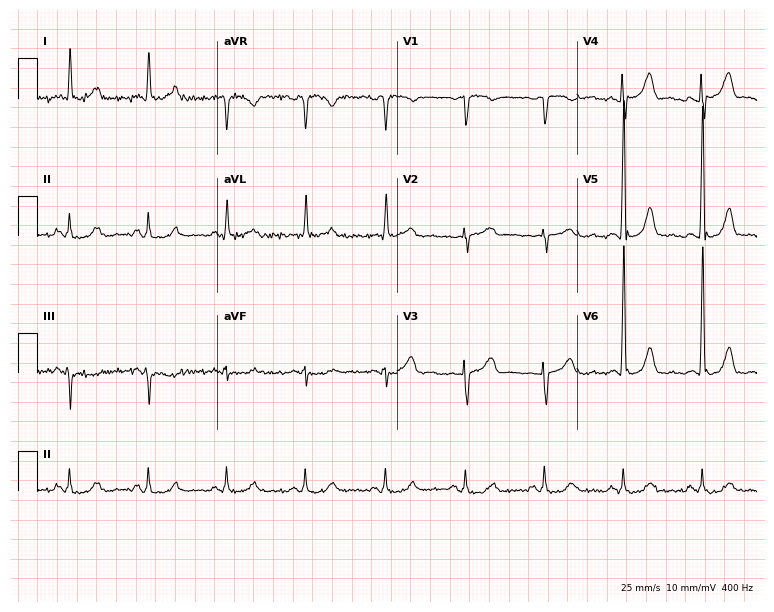
12-lead ECG from a male patient, 52 years old. Screened for six findings — first-degree AV block, right bundle branch block, left bundle branch block, sinus bradycardia, atrial fibrillation, sinus tachycardia — none is recorded.